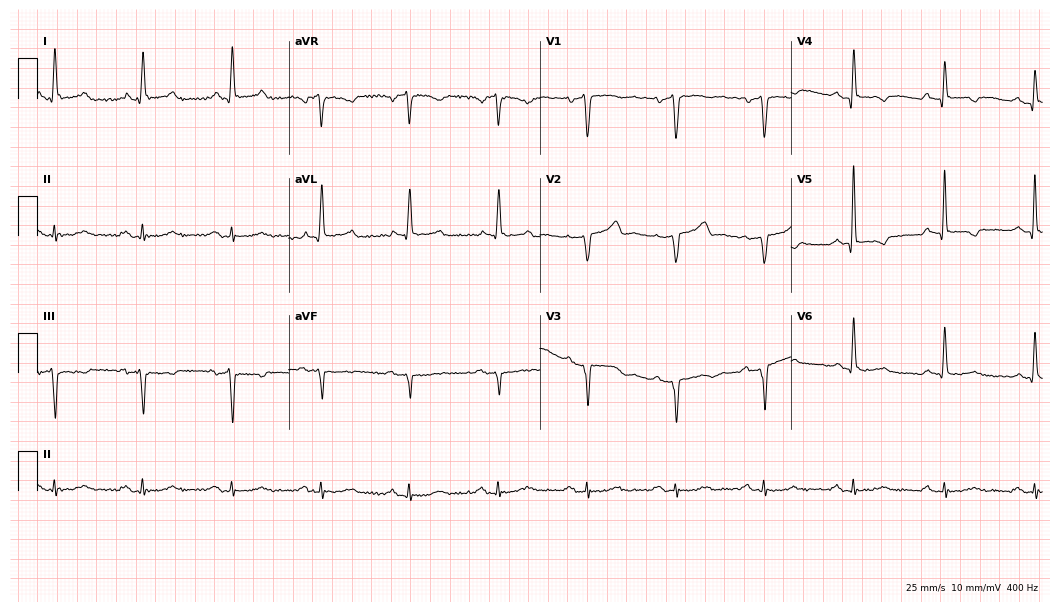
ECG — a man, 70 years old. Screened for six findings — first-degree AV block, right bundle branch block (RBBB), left bundle branch block (LBBB), sinus bradycardia, atrial fibrillation (AF), sinus tachycardia — none is recorded. Other findings, if any, are not listed.